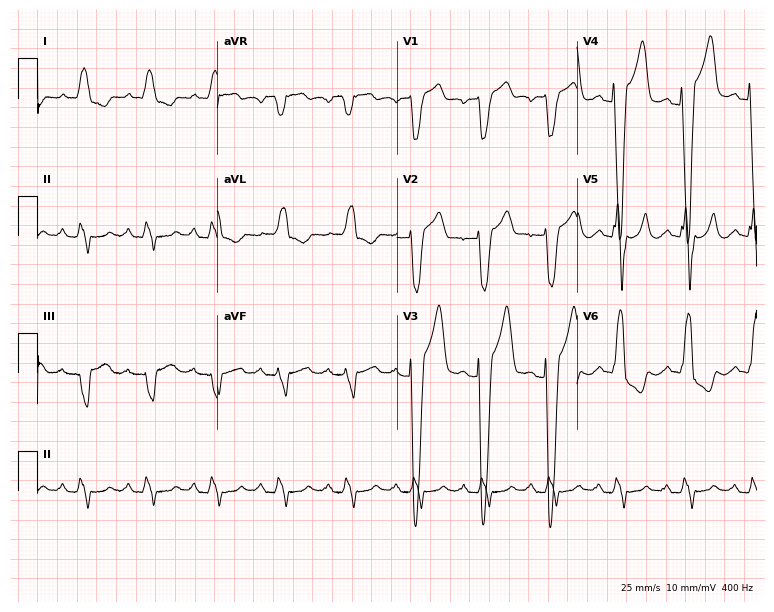
12-lead ECG from a female patient, 73 years old. Shows left bundle branch block.